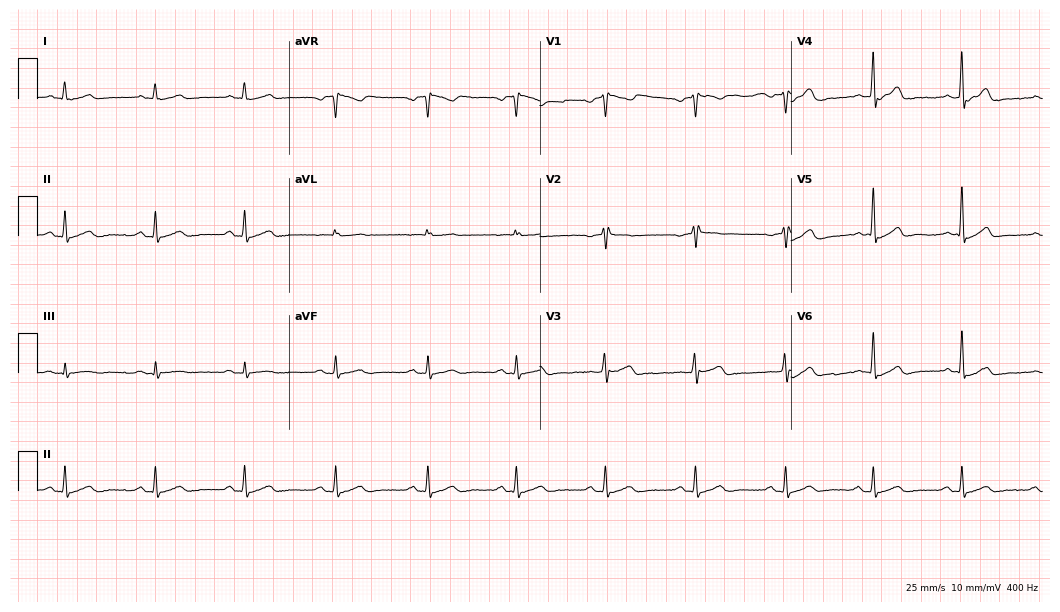
Resting 12-lead electrocardiogram. Patient: a 43-year-old male. Read as a normal ECG.